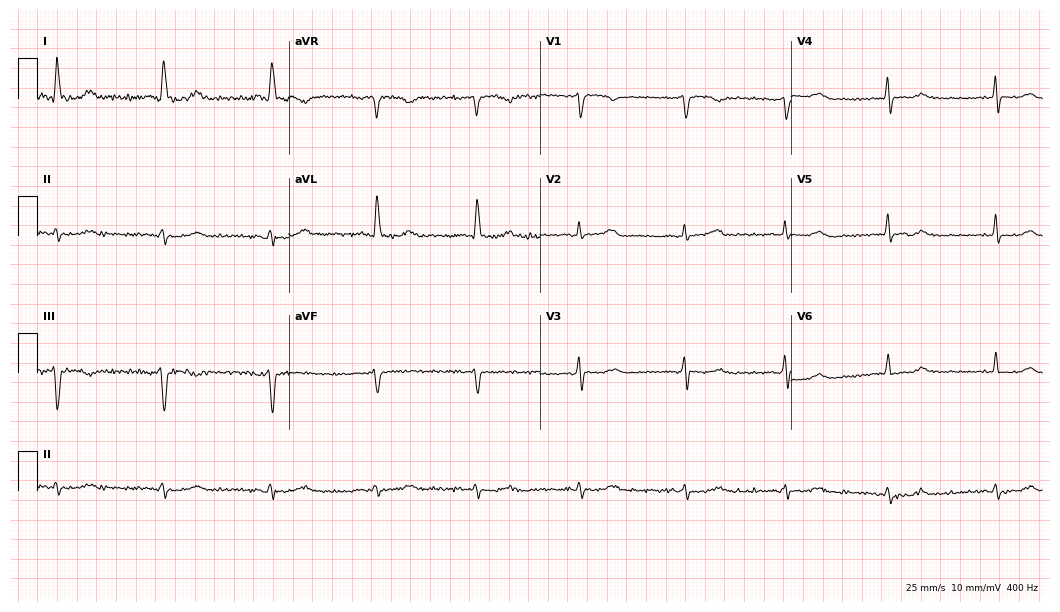
Electrocardiogram (10.2-second recording at 400 Hz), a 77-year-old female. Overall reading on record: normal ECG.